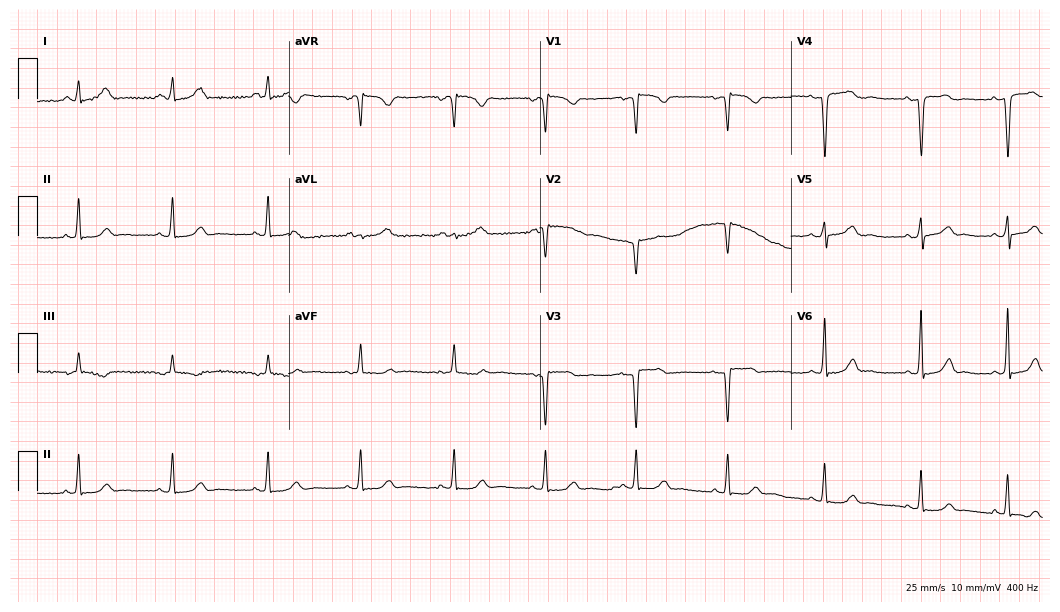
12-lead ECG from a 40-year-old female (10.2-second recording at 400 Hz). No first-degree AV block, right bundle branch block, left bundle branch block, sinus bradycardia, atrial fibrillation or sinus tachycardia recorded for this tracing. Only these six findings were labelled.